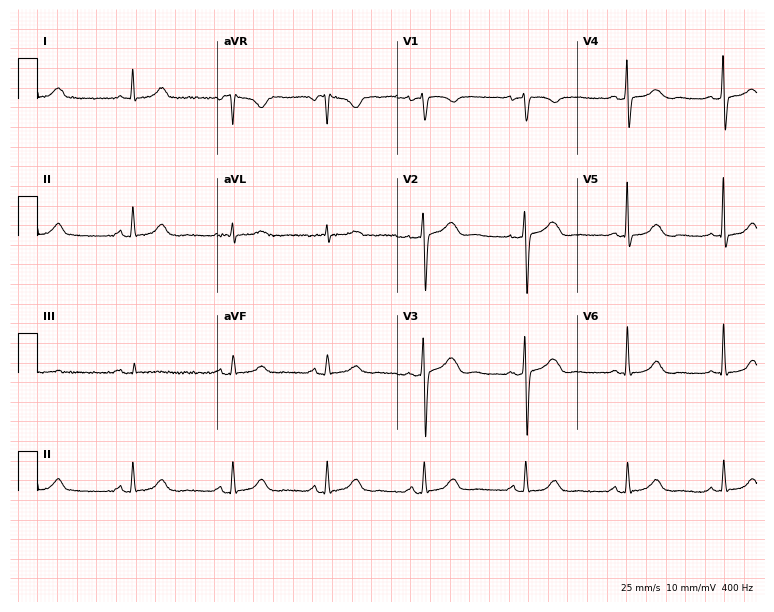
Resting 12-lead electrocardiogram. Patient: a female, 58 years old. Read as a normal ECG.